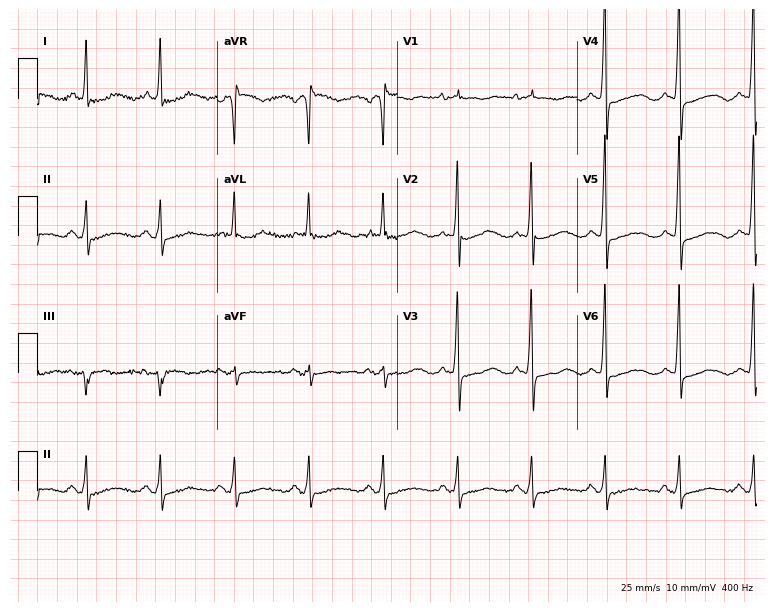
12-lead ECG from a woman, 78 years old. Screened for six findings — first-degree AV block, right bundle branch block, left bundle branch block, sinus bradycardia, atrial fibrillation, sinus tachycardia — none is recorded. Only these six findings were labelled.